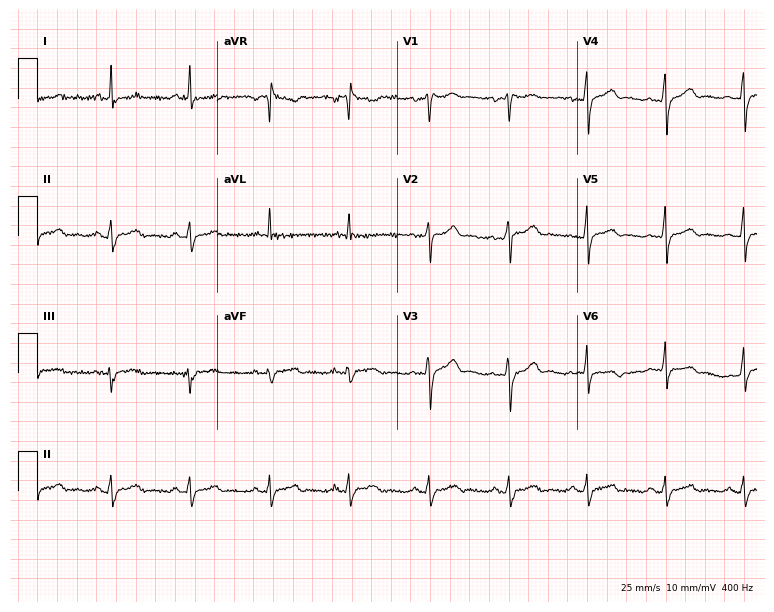
12-lead ECG from a woman, 47 years old. Screened for six findings — first-degree AV block, right bundle branch block (RBBB), left bundle branch block (LBBB), sinus bradycardia, atrial fibrillation (AF), sinus tachycardia — none is recorded.